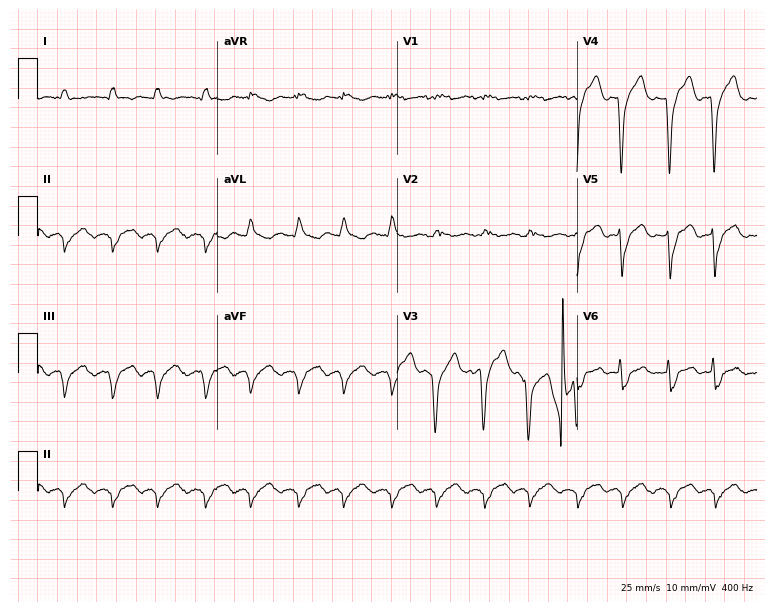
Standard 12-lead ECG recorded from a 38-year-old man. None of these six findings is recorded: first-degree AV block, right bundle branch block (RBBB), left bundle branch block (LBBB), sinus bradycardia, atrial fibrillation (AF), sinus tachycardia.